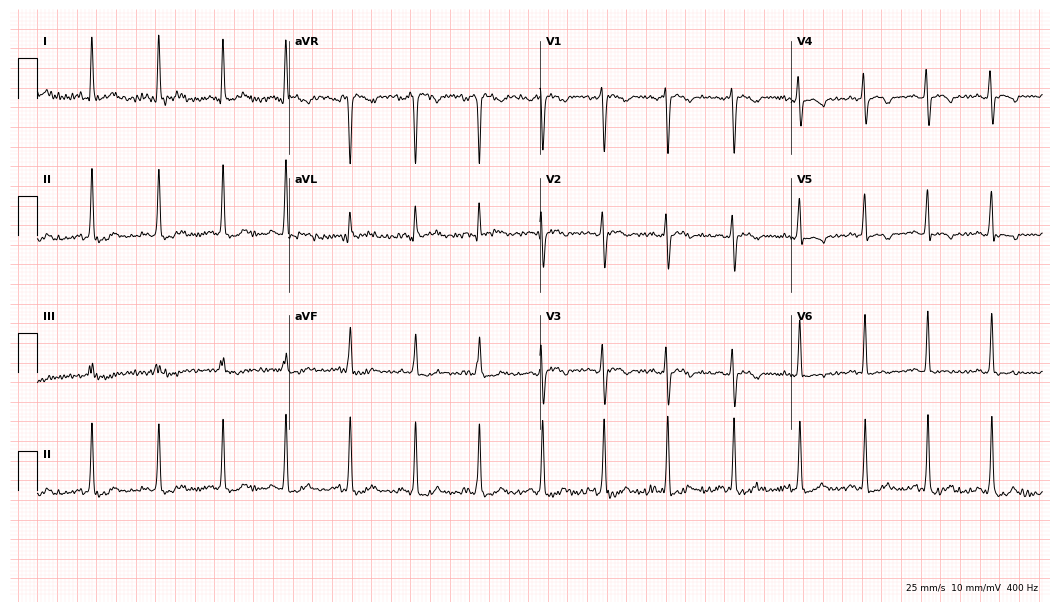
12-lead ECG from a 35-year-old woman. No first-degree AV block, right bundle branch block (RBBB), left bundle branch block (LBBB), sinus bradycardia, atrial fibrillation (AF) or sinus tachycardia recorded for this tracing. Other findings, if any, are not listed.